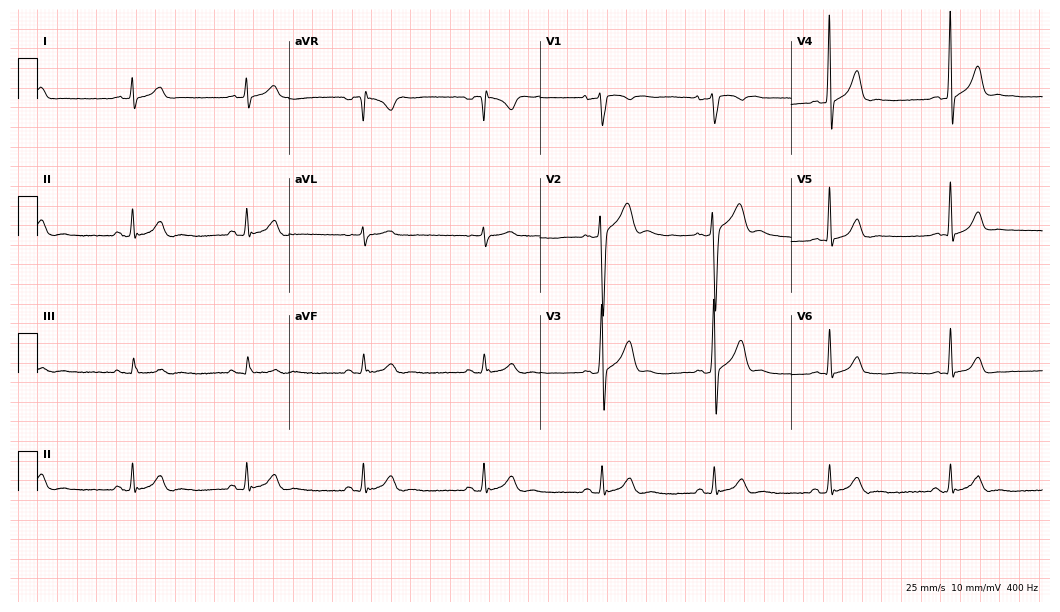
ECG (10.2-second recording at 400 Hz) — a man, 27 years old. Findings include sinus bradycardia (a sinus rate of 50 beats per minute or less).